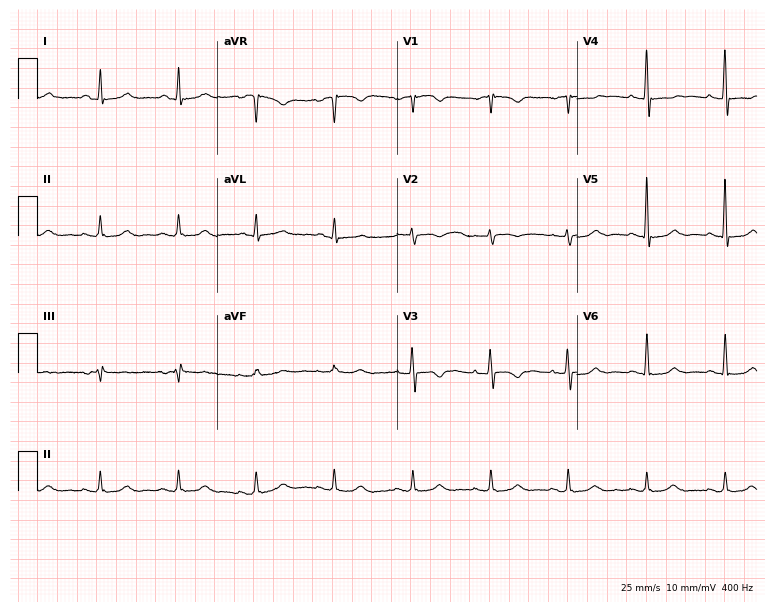
Resting 12-lead electrocardiogram (7.3-second recording at 400 Hz). Patient: a female, 72 years old. Read as a normal ECG.